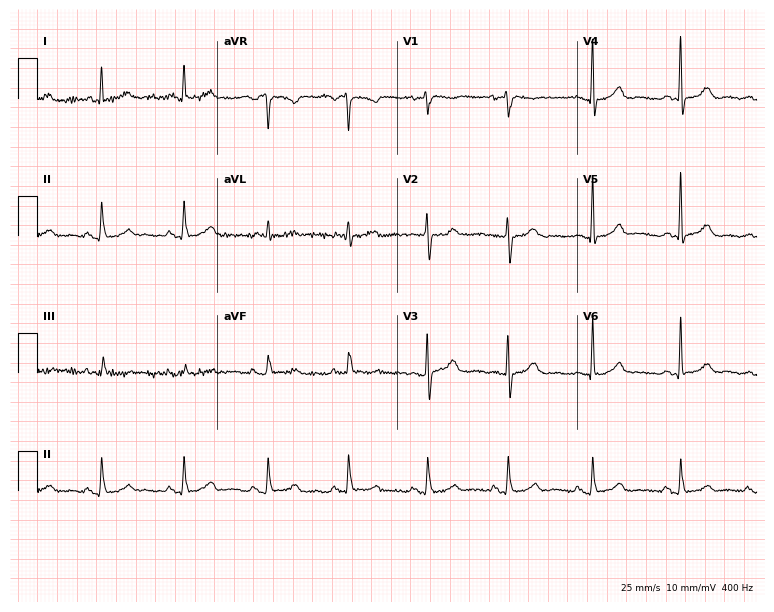
Standard 12-lead ECG recorded from a woman, 51 years old. Read as a normal ECG.